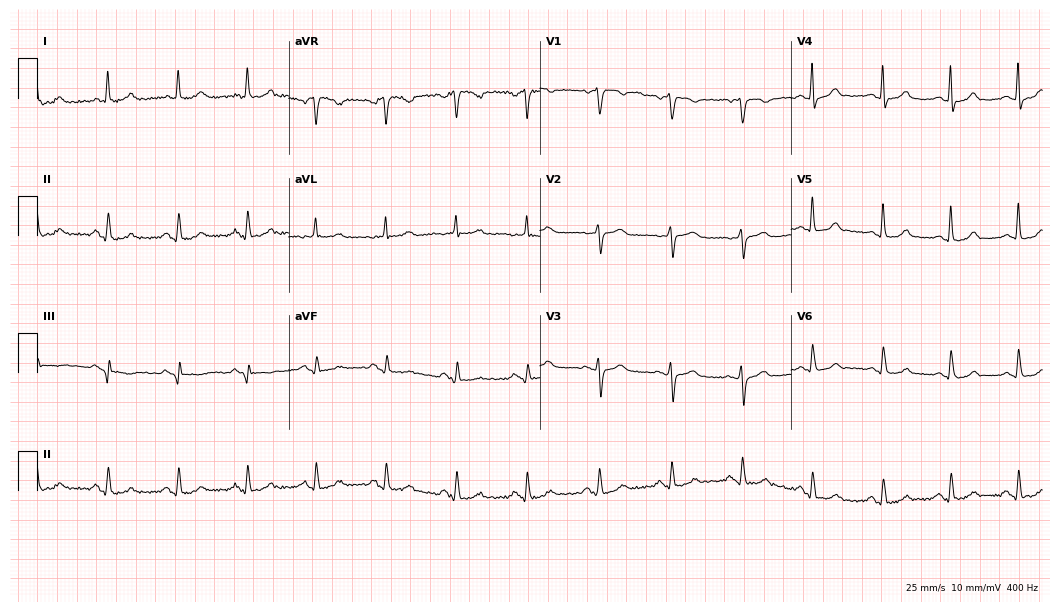
Standard 12-lead ECG recorded from a 50-year-old woman. Read as a normal ECG.